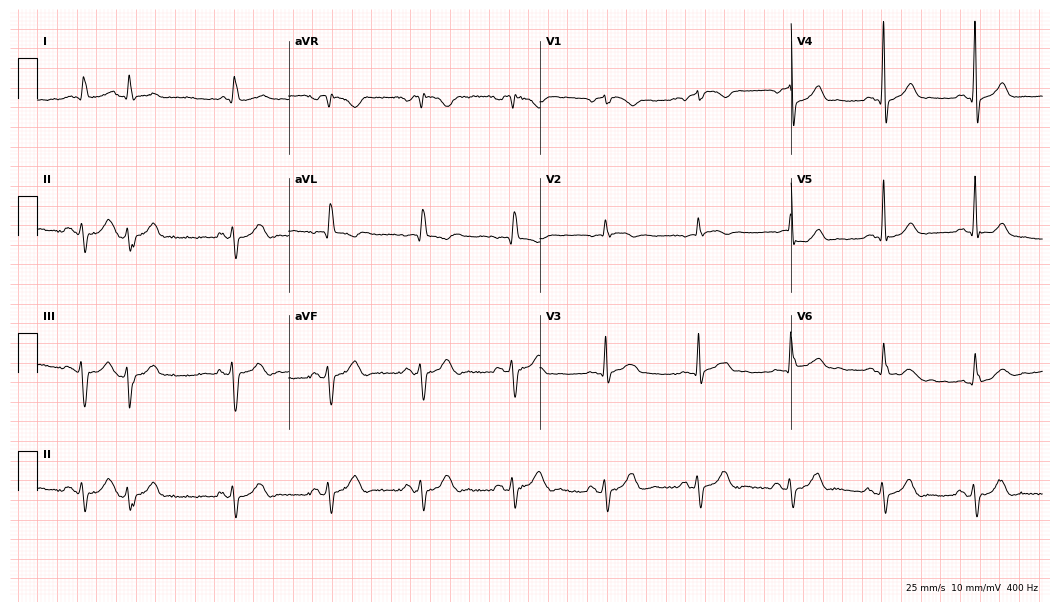
ECG (10.2-second recording at 400 Hz) — a 72-year-old male patient. Labelled as a normal ECG.